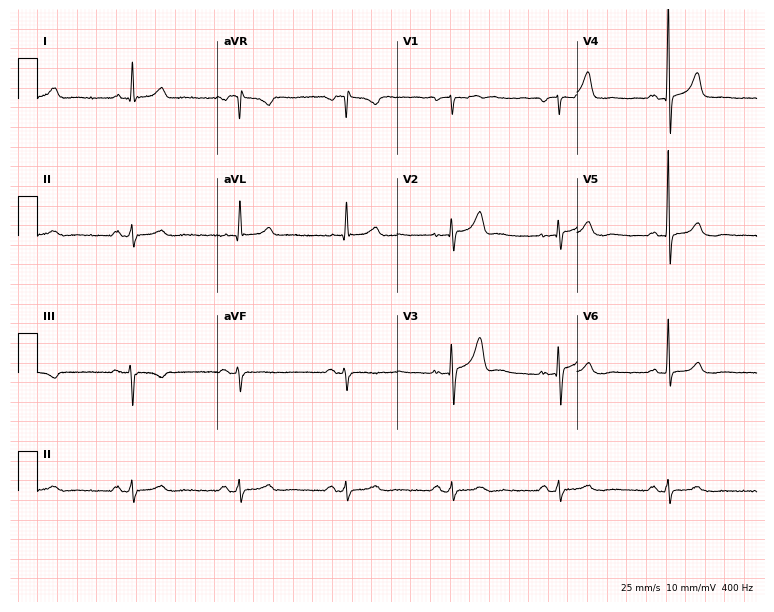
12-lead ECG from a man, 62 years old. Screened for six findings — first-degree AV block, right bundle branch block (RBBB), left bundle branch block (LBBB), sinus bradycardia, atrial fibrillation (AF), sinus tachycardia — none is recorded.